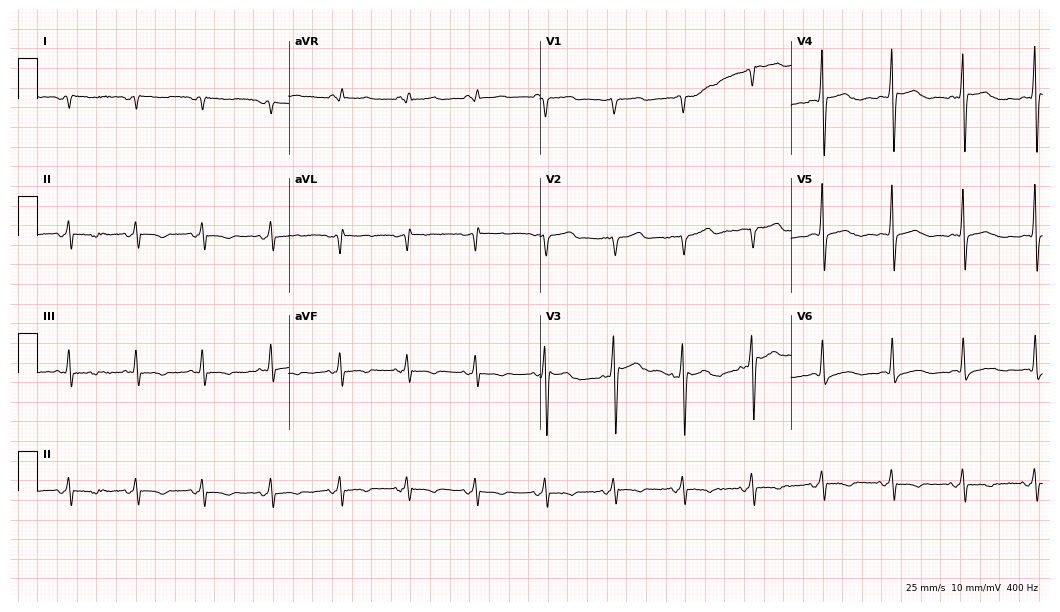
12-lead ECG from a male, 74 years old. No first-degree AV block, right bundle branch block, left bundle branch block, sinus bradycardia, atrial fibrillation or sinus tachycardia recorded for this tracing.